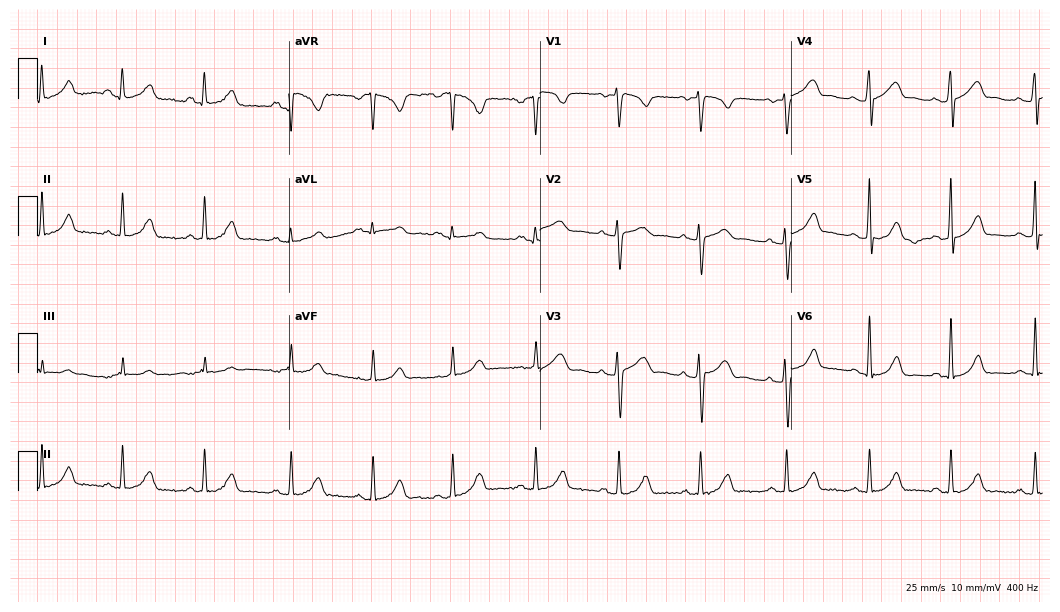
Resting 12-lead electrocardiogram. Patient: a female, 31 years old. Read as a normal ECG.